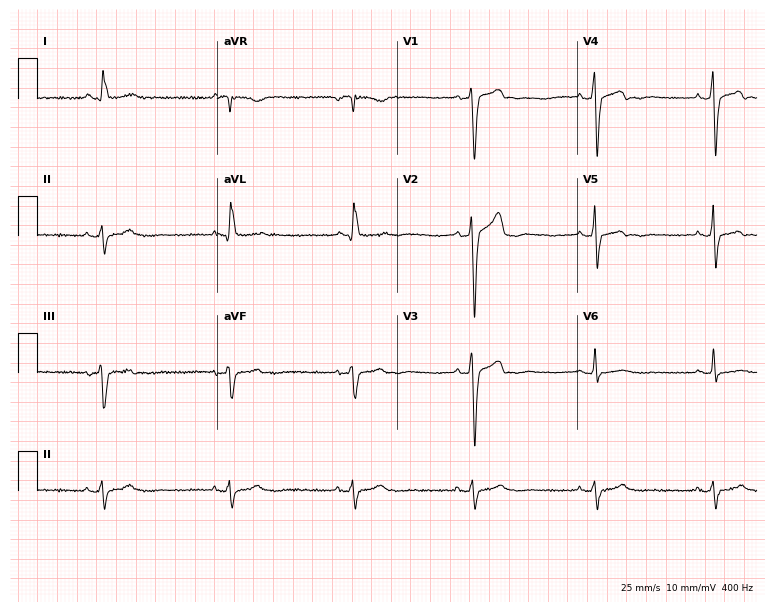
ECG — a 64-year-old man. Findings include sinus bradycardia (a sinus rate of 50 beats per minute or less).